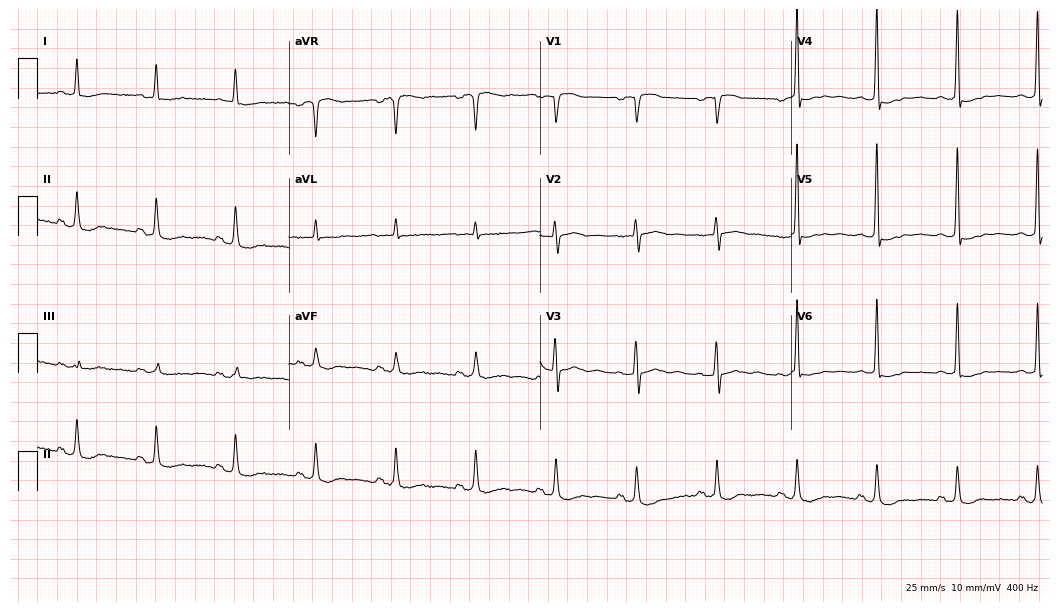
12-lead ECG from an 82-year-old female patient. No first-degree AV block, right bundle branch block, left bundle branch block, sinus bradycardia, atrial fibrillation or sinus tachycardia recorded for this tracing.